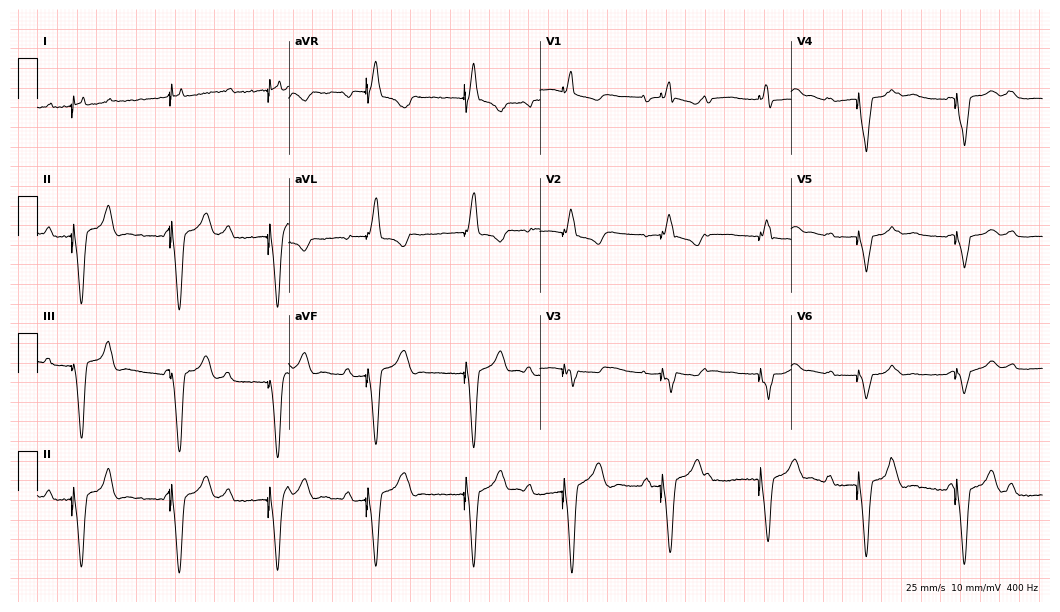
ECG — a male, 83 years old. Screened for six findings — first-degree AV block, right bundle branch block (RBBB), left bundle branch block (LBBB), sinus bradycardia, atrial fibrillation (AF), sinus tachycardia — none is recorded. Findings outside these six are not listed.